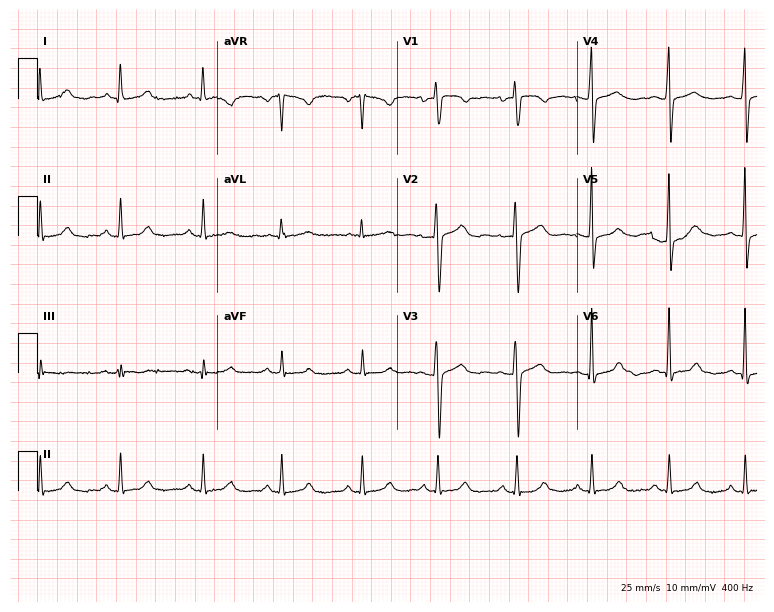
Resting 12-lead electrocardiogram. Patient: a woman, 39 years old. Read as a normal ECG.